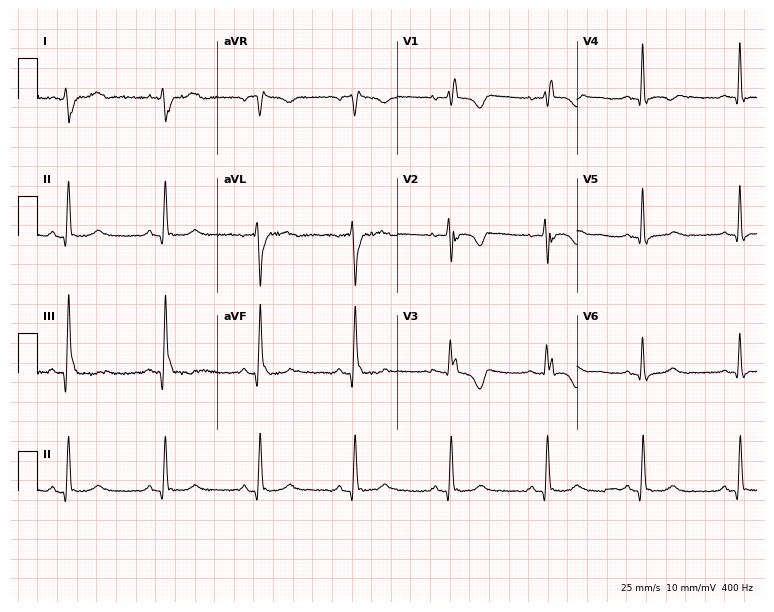
ECG — a 39-year-old woman. Findings include right bundle branch block.